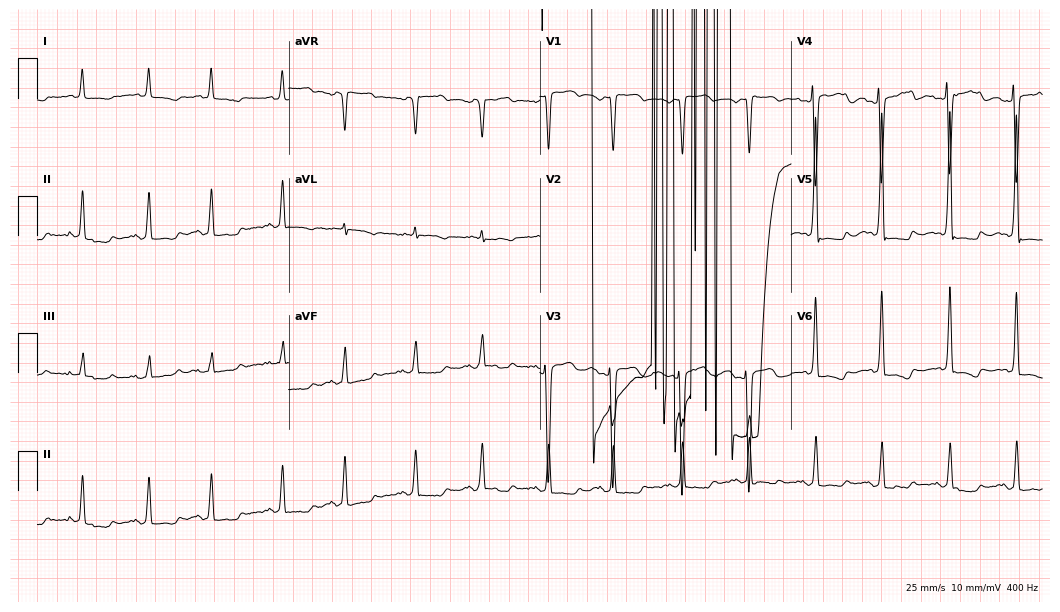
Electrocardiogram, a woman, 48 years old. Of the six screened findings (first-degree AV block, right bundle branch block (RBBB), left bundle branch block (LBBB), sinus bradycardia, atrial fibrillation (AF), sinus tachycardia), none is recorded.